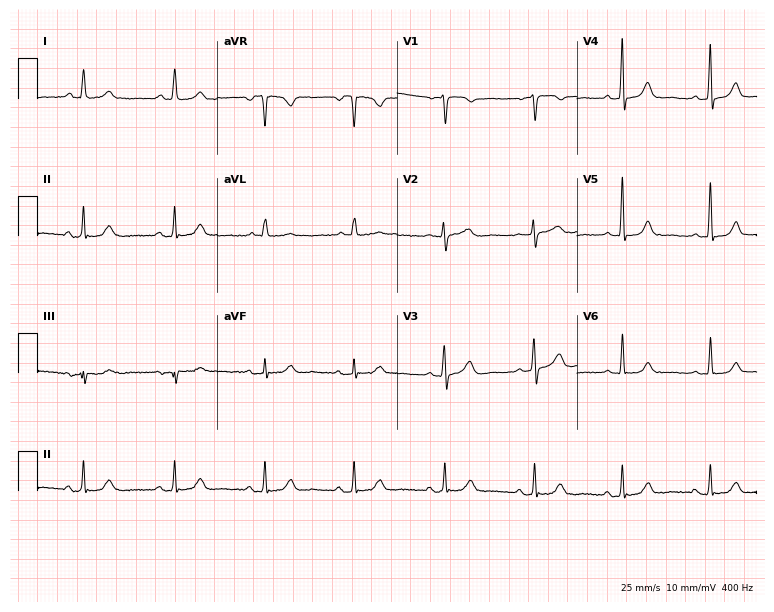
12-lead ECG from a 69-year-old female (7.3-second recording at 400 Hz). No first-degree AV block, right bundle branch block, left bundle branch block, sinus bradycardia, atrial fibrillation or sinus tachycardia recorded for this tracing.